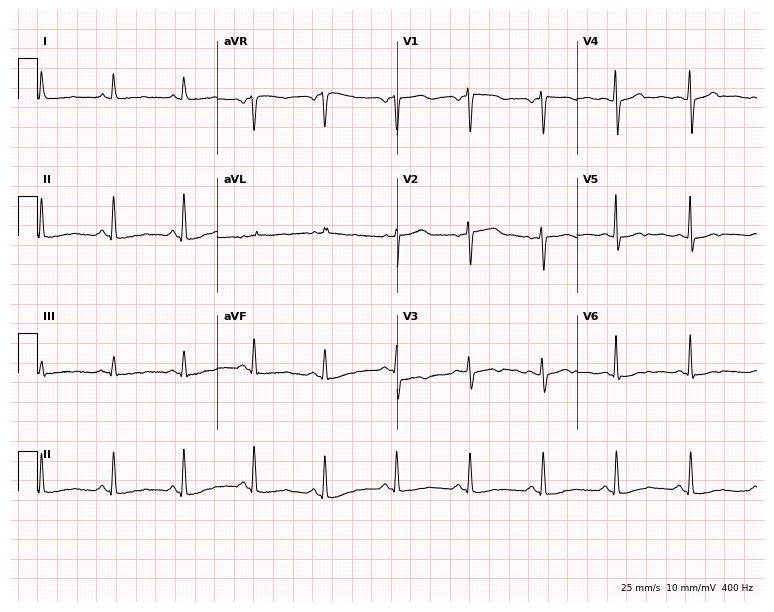
Standard 12-lead ECG recorded from a male, 48 years old (7.3-second recording at 400 Hz). None of these six findings is recorded: first-degree AV block, right bundle branch block, left bundle branch block, sinus bradycardia, atrial fibrillation, sinus tachycardia. Only these six findings were labelled.